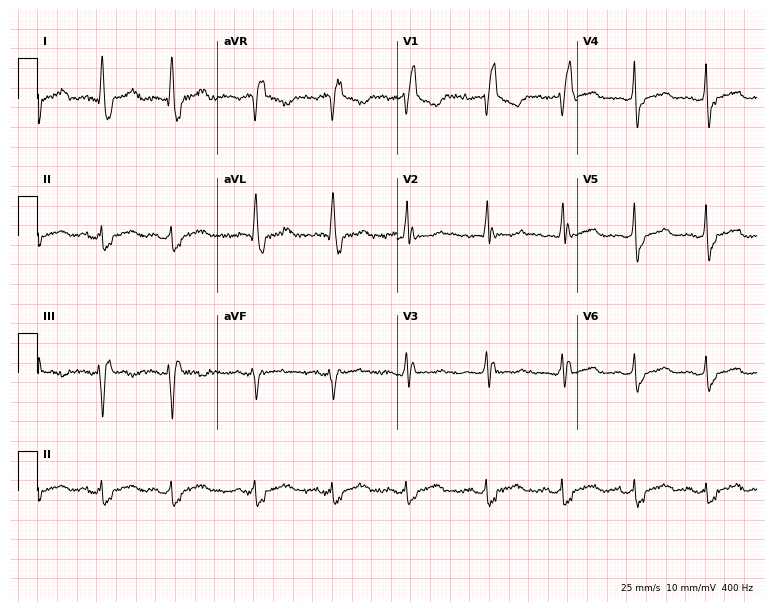
Electrocardiogram, a female, 69 years old. Interpretation includes right bundle branch block.